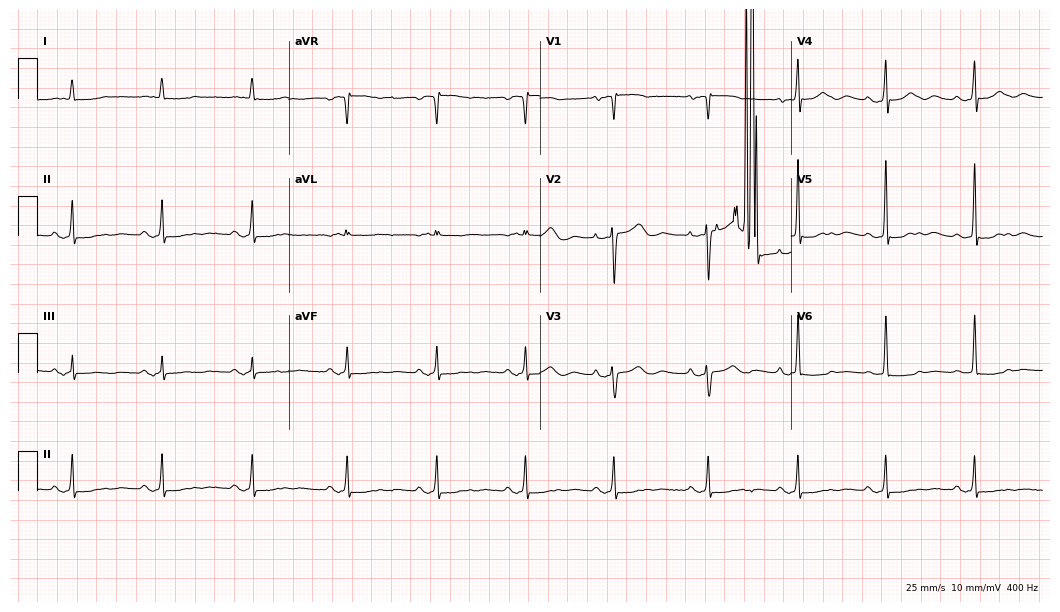
12-lead ECG (10.2-second recording at 400 Hz) from a female patient, 80 years old. Screened for six findings — first-degree AV block, right bundle branch block (RBBB), left bundle branch block (LBBB), sinus bradycardia, atrial fibrillation (AF), sinus tachycardia — none is recorded. Other findings, if any, are not listed.